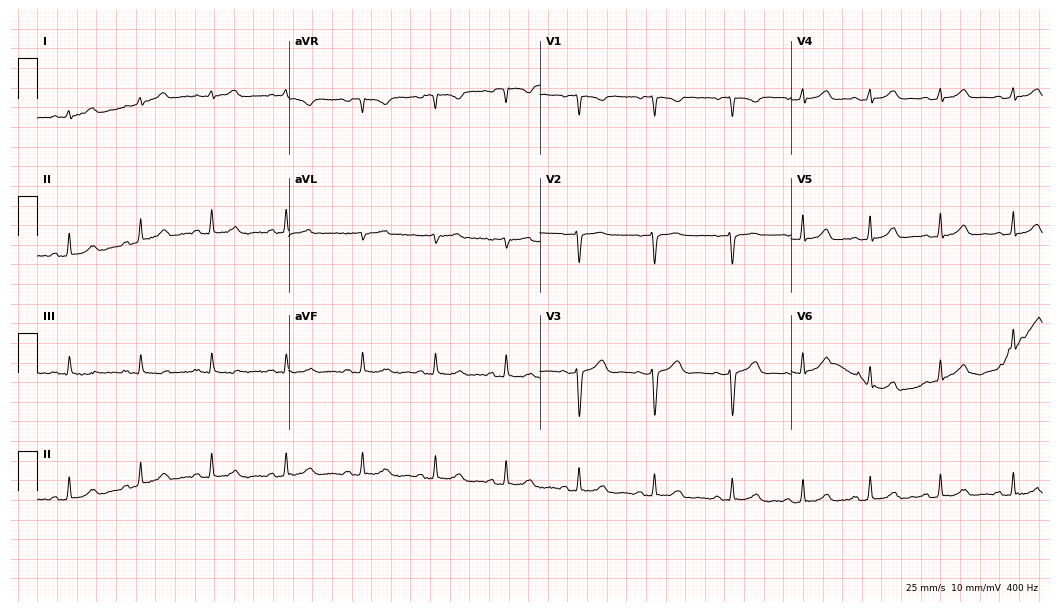
12-lead ECG (10.2-second recording at 400 Hz) from a female patient, 21 years old. Screened for six findings — first-degree AV block, right bundle branch block (RBBB), left bundle branch block (LBBB), sinus bradycardia, atrial fibrillation (AF), sinus tachycardia — none is recorded. Findings outside these six are not listed.